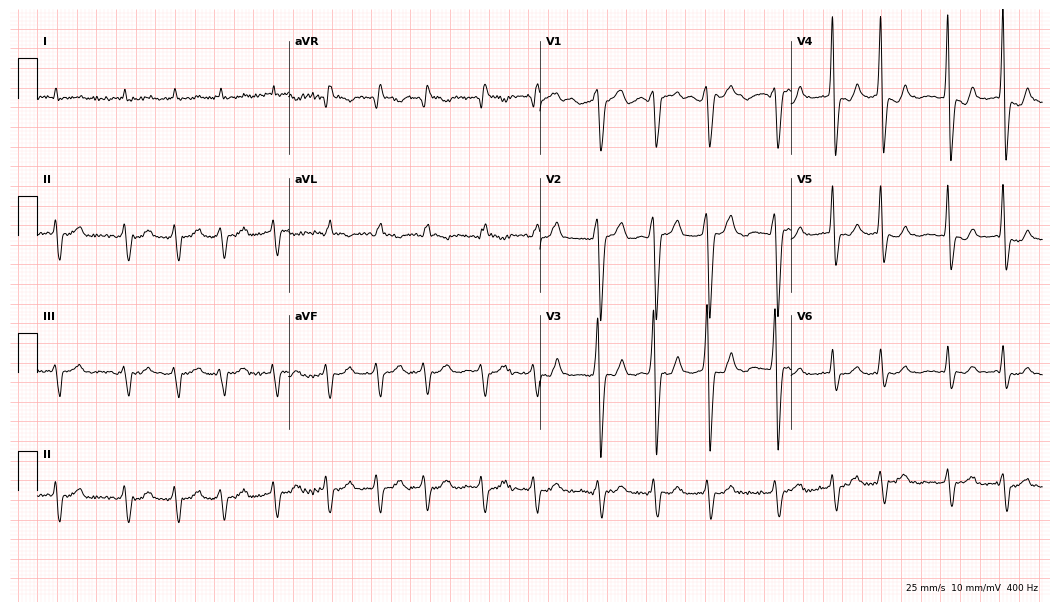
Resting 12-lead electrocardiogram (10.2-second recording at 400 Hz). Patient: a male, 83 years old. The tracing shows atrial fibrillation.